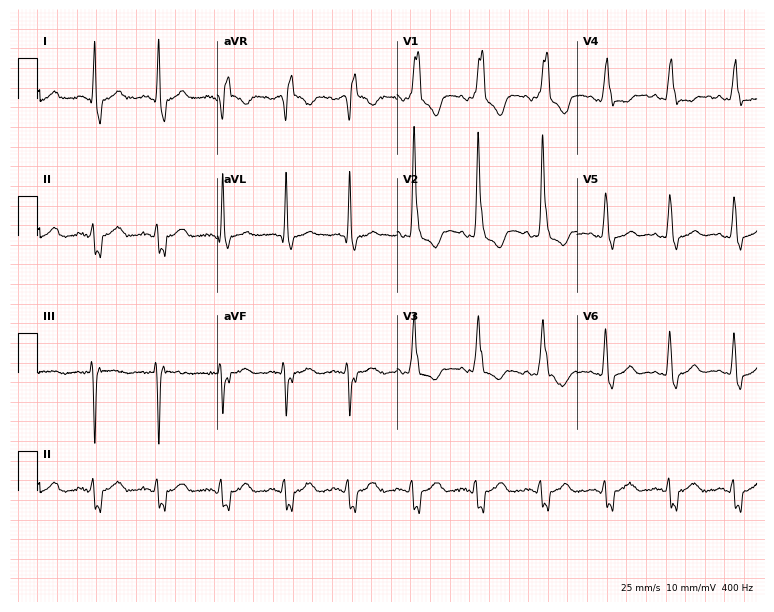
Standard 12-lead ECG recorded from a male patient, 60 years old. The tracing shows right bundle branch block, left bundle branch block.